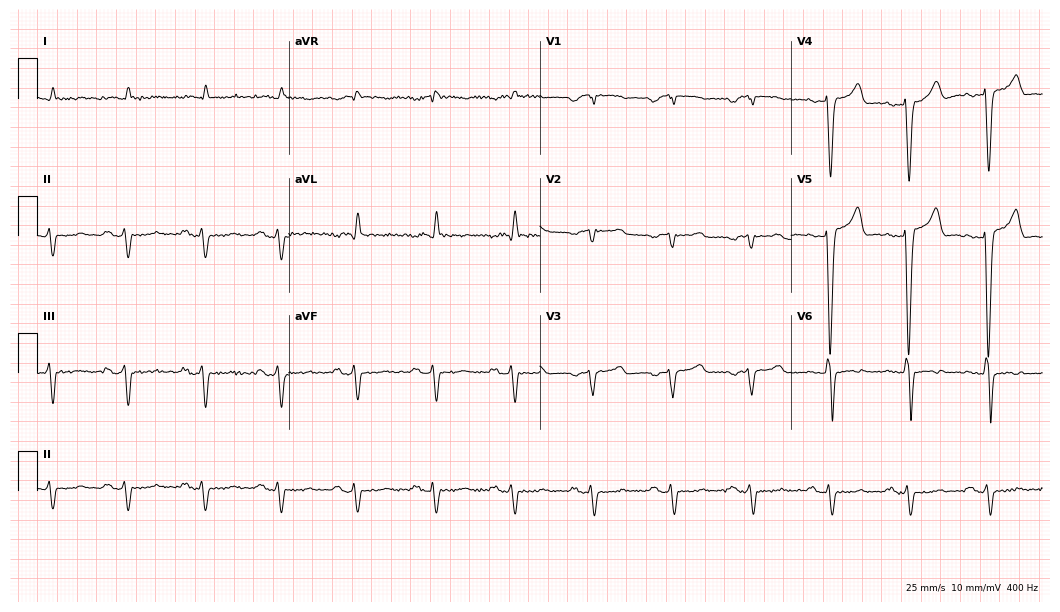
ECG — a male patient, 46 years old. Screened for six findings — first-degree AV block, right bundle branch block (RBBB), left bundle branch block (LBBB), sinus bradycardia, atrial fibrillation (AF), sinus tachycardia — none is recorded.